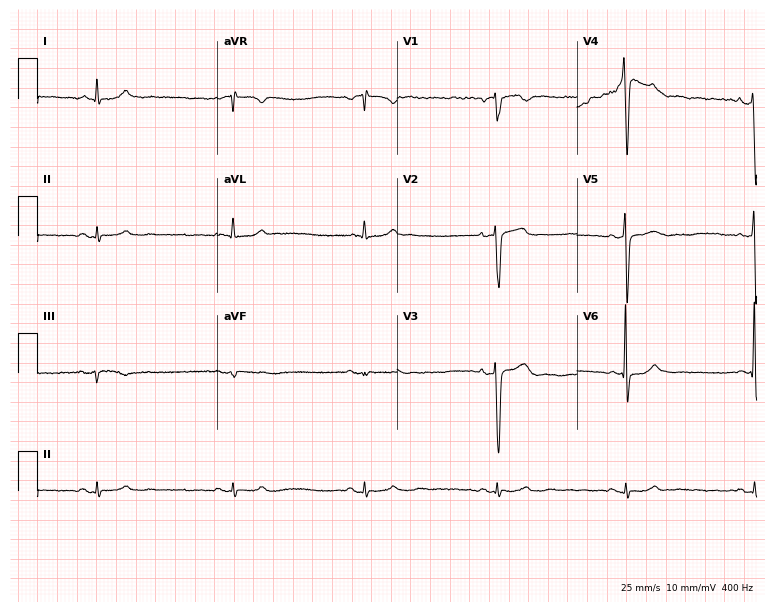
ECG (7.3-second recording at 400 Hz) — a 74-year-old man. Findings include sinus bradycardia (a sinus rate of 50 beats per minute or less).